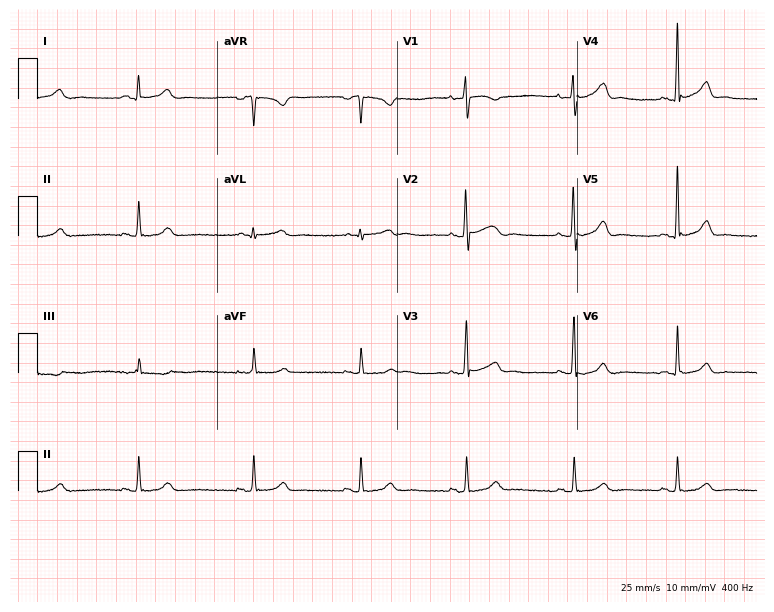
ECG (7.3-second recording at 400 Hz) — a female patient, 23 years old. Labelled as a normal ECG.